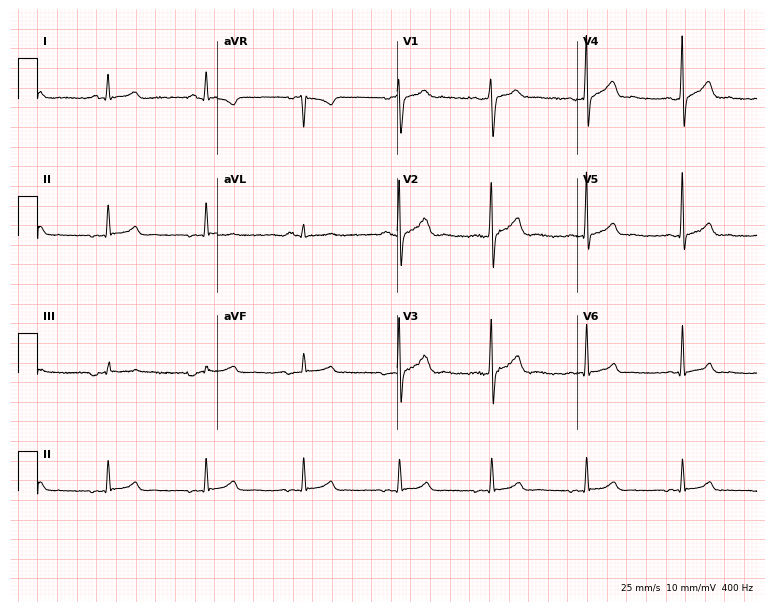
12-lead ECG from a male, 34 years old. Recorded interpretation: within normal limits.